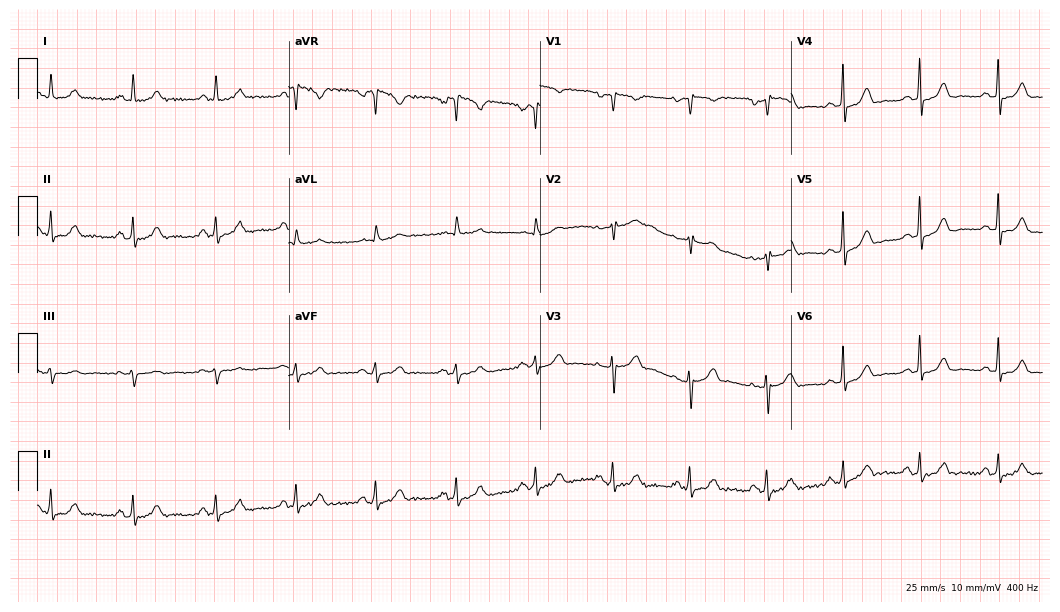
12-lead ECG from a 58-year-old woman (10.2-second recording at 400 Hz). Recorded interpretation: within normal limits.